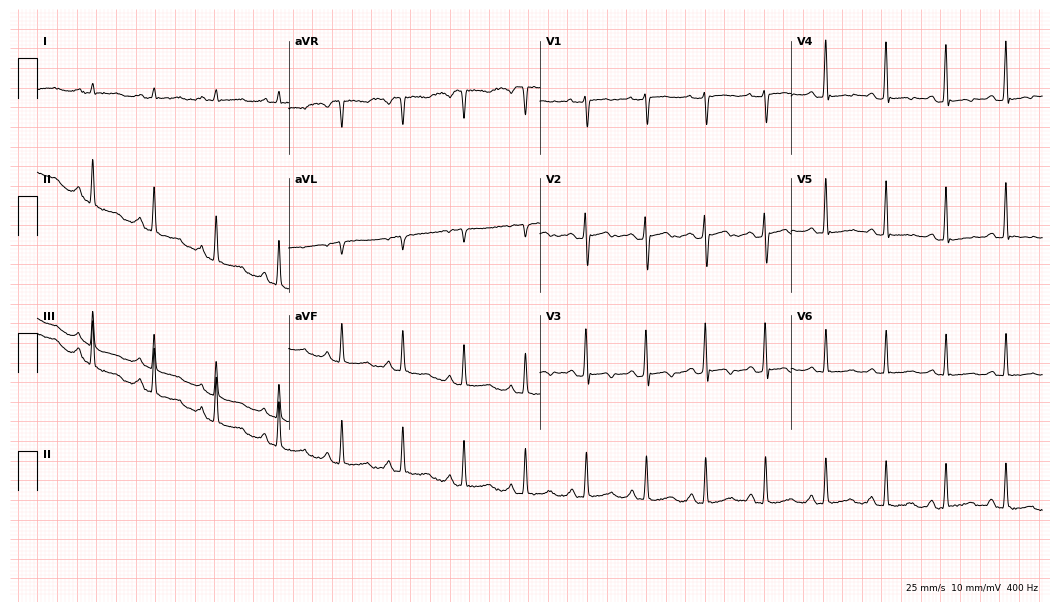
Resting 12-lead electrocardiogram (10.2-second recording at 400 Hz). Patient: a female, 28 years old. None of these six findings is recorded: first-degree AV block, right bundle branch block, left bundle branch block, sinus bradycardia, atrial fibrillation, sinus tachycardia.